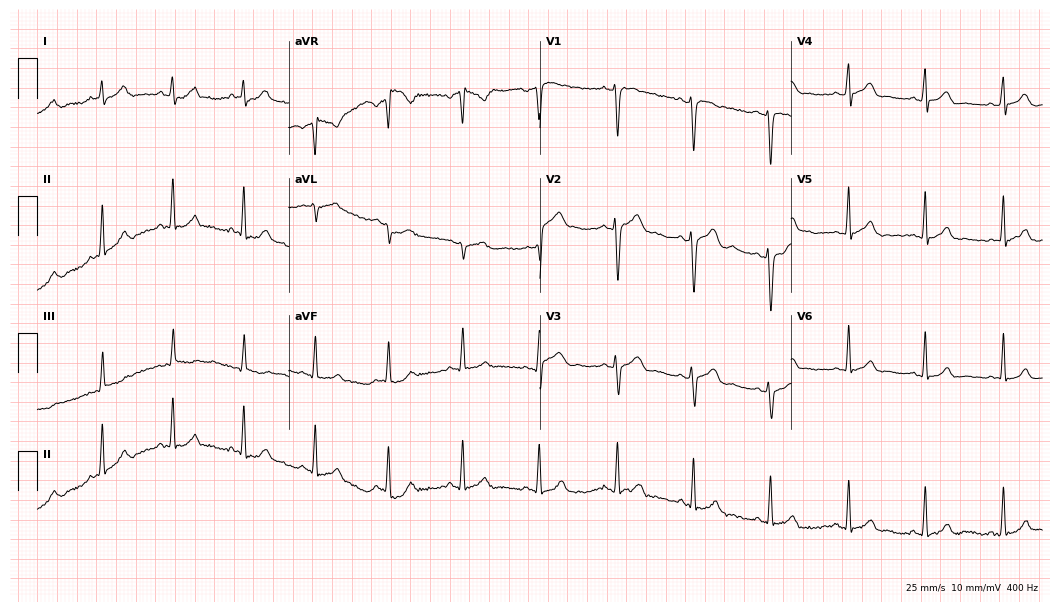
Electrocardiogram (10.2-second recording at 400 Hz), an 18-year-old male. Overall reading on record: normal ECG.